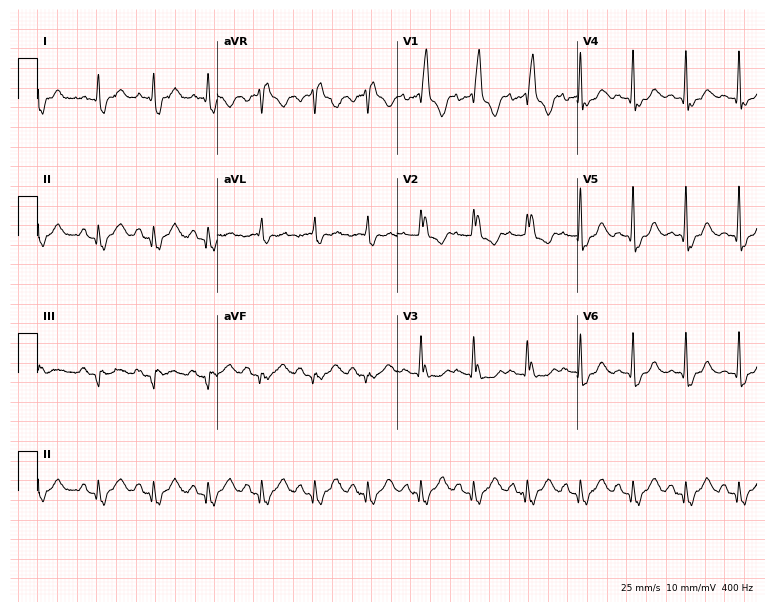
ECG (7.3-second recording at 400 Hz) — a woman, 75 years old. Findings include right bundle branch block.